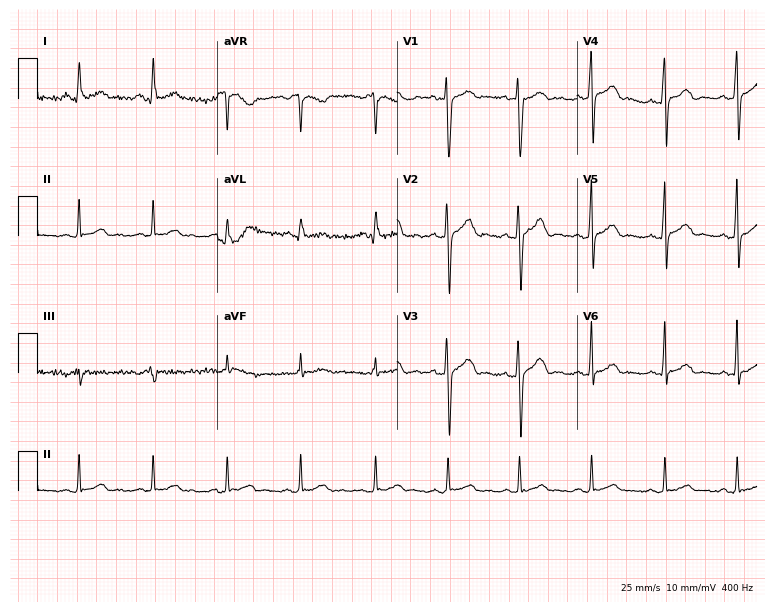
Electrocardiogram (7.3-second recording at 400 Hz), a 20-year-old man. Overall reading on record: normal ECG.